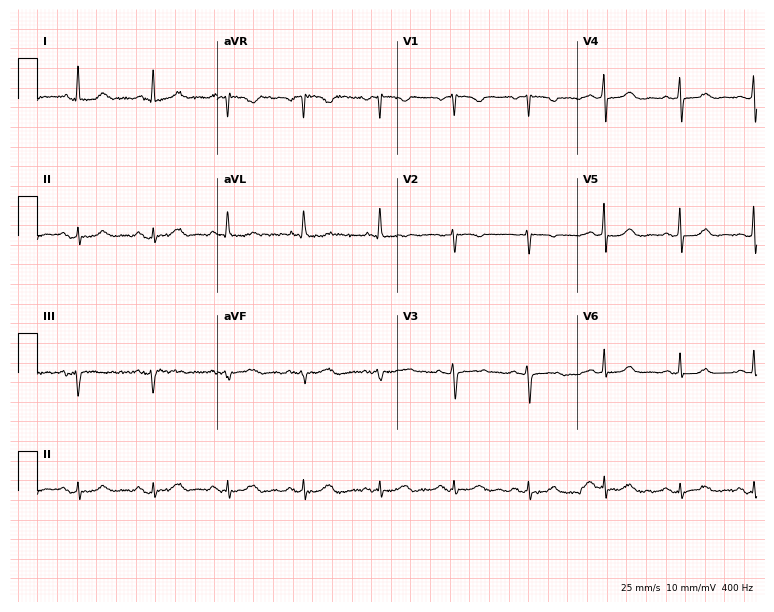
Resting 12-lead electrocardiogram. Patient: a 75-year-old female. Read as a normal ECG.